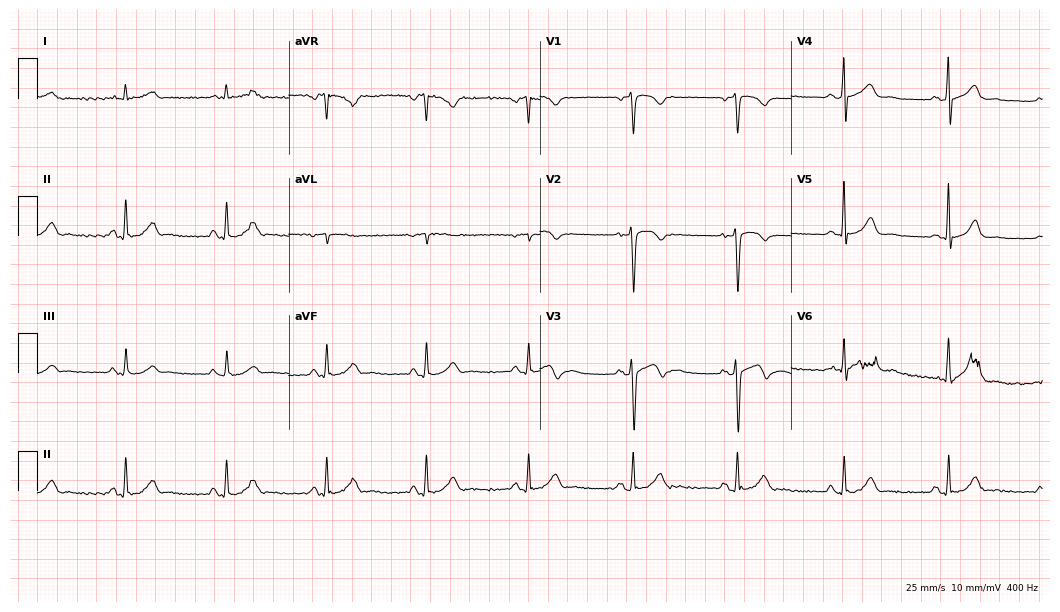
Standard 12-lead ECG recorded from a 66-year-old male patient. Read as a normal ECG.